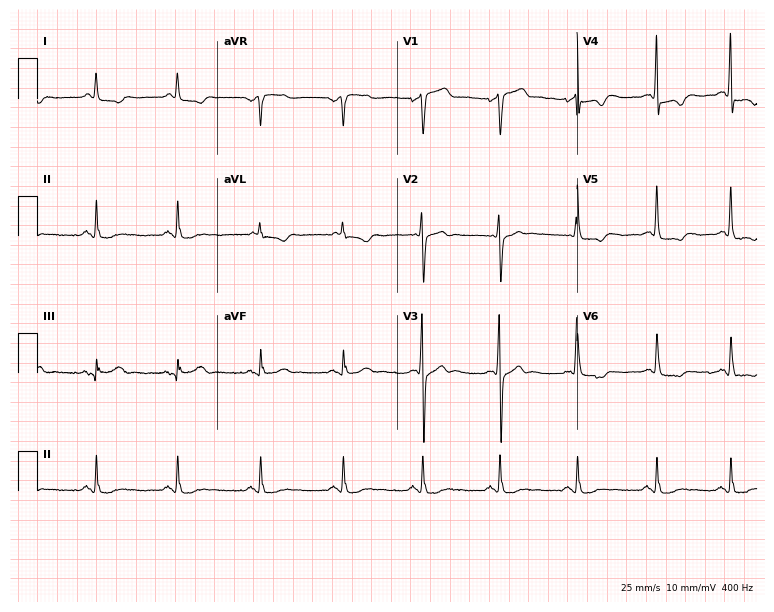
ECG (7.3-second recording at 400 Hz) — a man, 67 years old. Screened for six findings — first-degree AV block, right bundle branch block, left bundle branch block, sinus bradycardia, atrial fibrillation, sinus tachycardia — none is recorded.